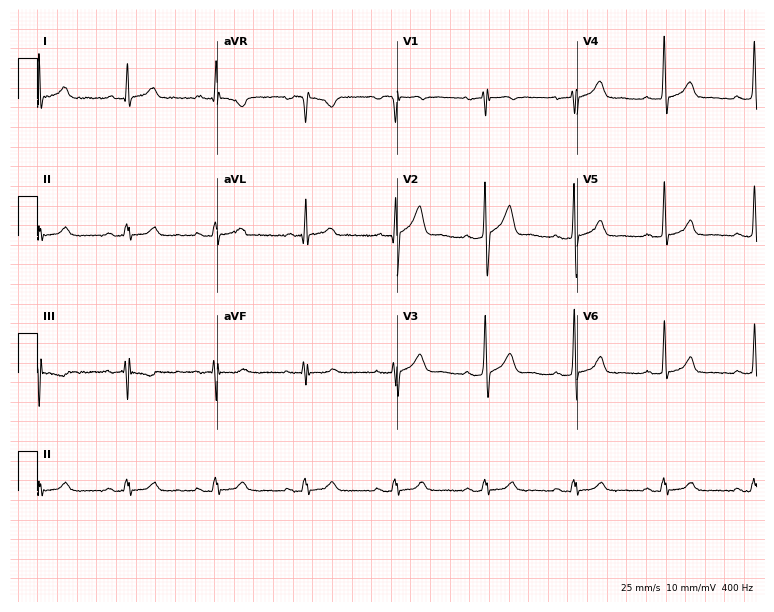
12-lead ECG from a 51-year-old woman. Screened for six findings — first-degree AV block, right bundle branch block, left bundle branch block, sinus bradycardia, atrial fibrillation, sinus tachycardia — none is recorded.